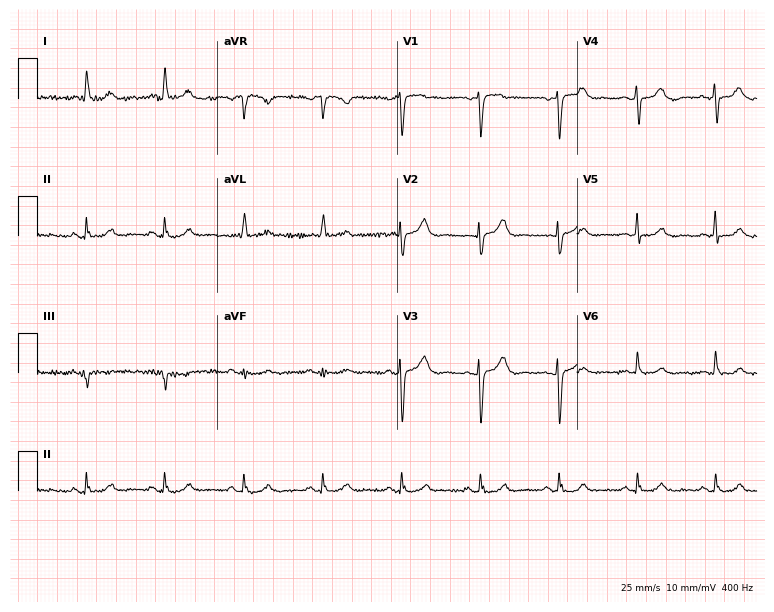
ECG (7.3-second recording at 400 Hz) — a 76-year-old male. Screened for six findings — first-degree AV block, right bundle branch block, left bundle branch block, sinus bradycardia, atrial fibrillation, sinus tachycardia — none is recorded. Findings outside these six are not listed.